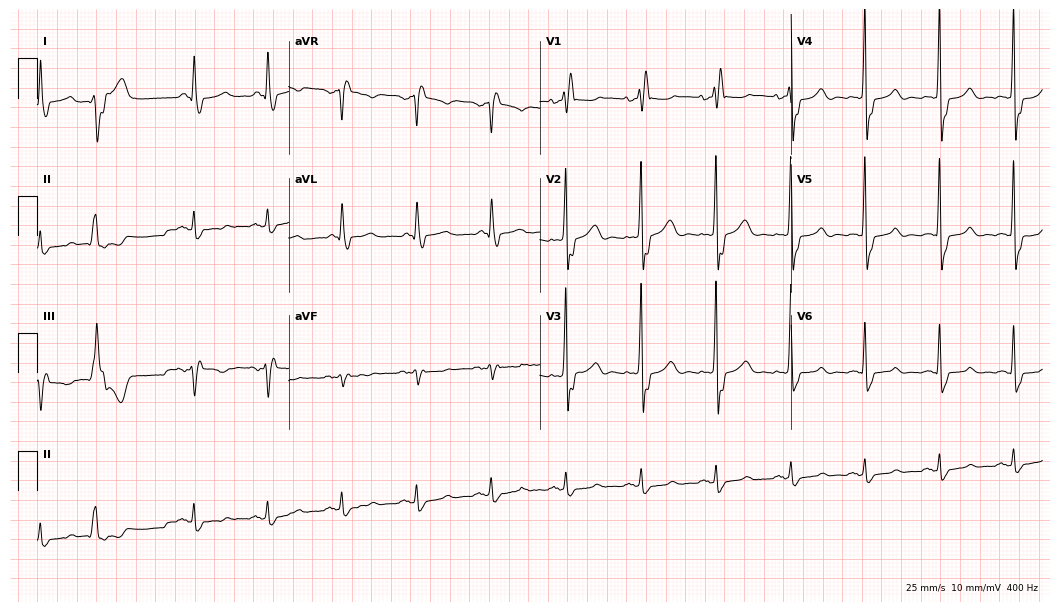
Resting 12-lead electrocardiogram (10.2-second recording at 400 Hz). Patient: a man, 80 years old. The tracing shows right bundle branch block.